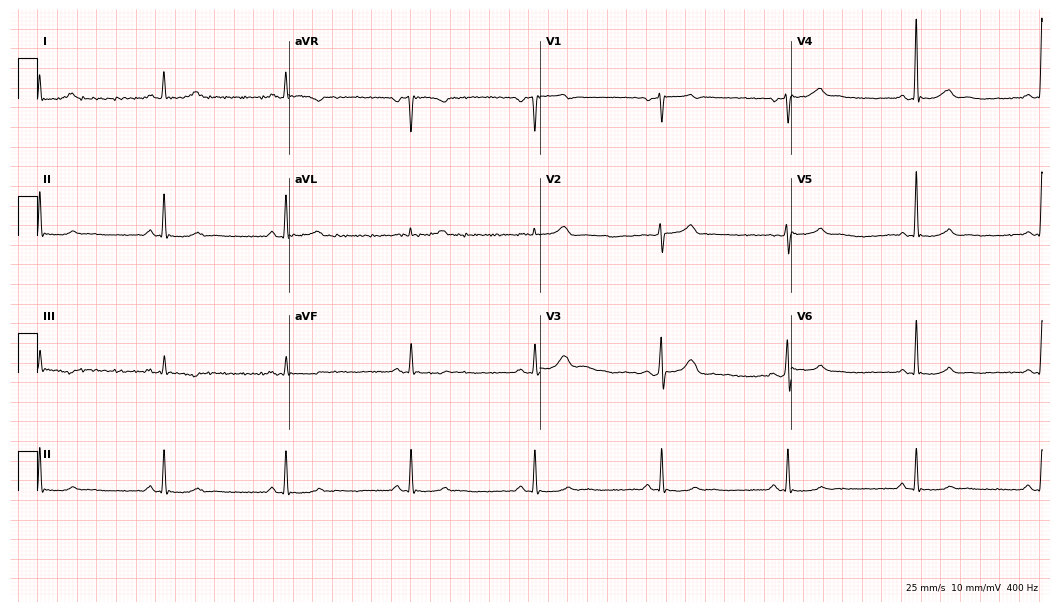
Standard 12-lead ECG recorded from a male patient, 57 years old (10.2-second recording at 400 Hz). The tracing shows sinus bradycardia (a sinus rate of 50 beats per minute or less).